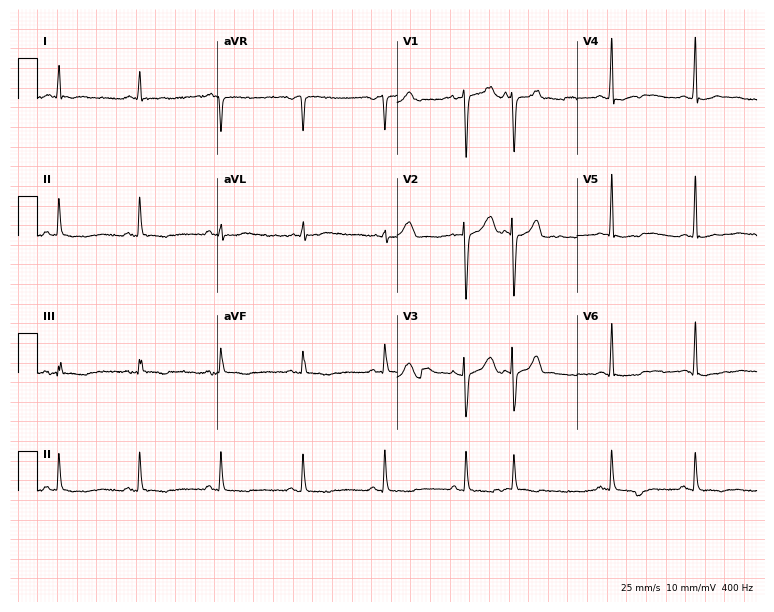
Resting 12-lead electrocardiogram. Patient: a man, 52 years old. None of these six findings is recorded: first-degree AV block, right bundle branch block (RBBB), left bundle branch block (LBBB), sinus bradycardia, atrial fibrillation (AF), sinus tachycardia.